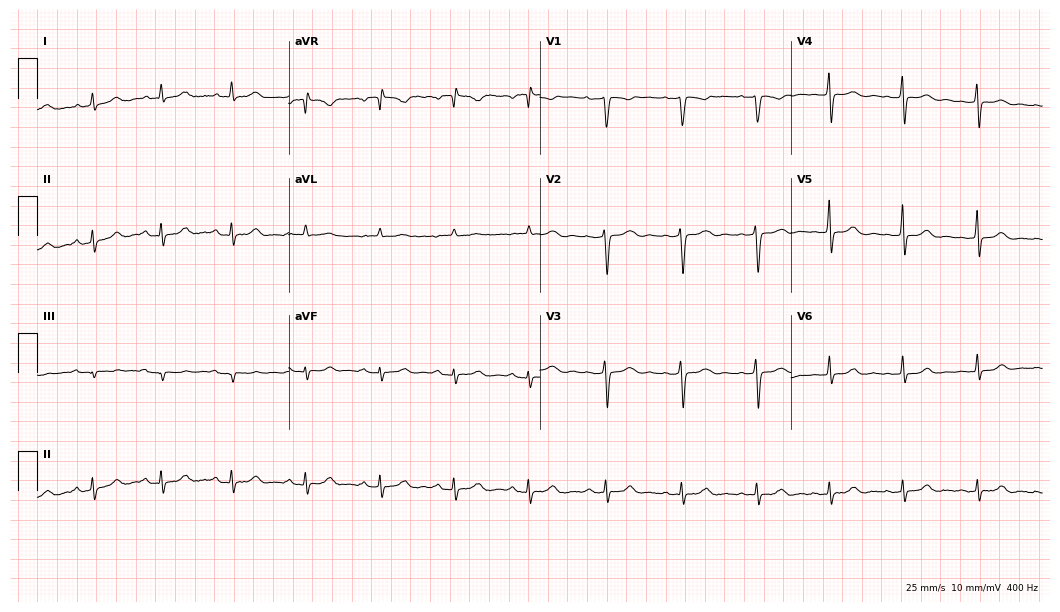
Electrocardiogram (10.2-second recording at 400 Hz), a 43-year-old woman. Overall reading on record: normal ECG.